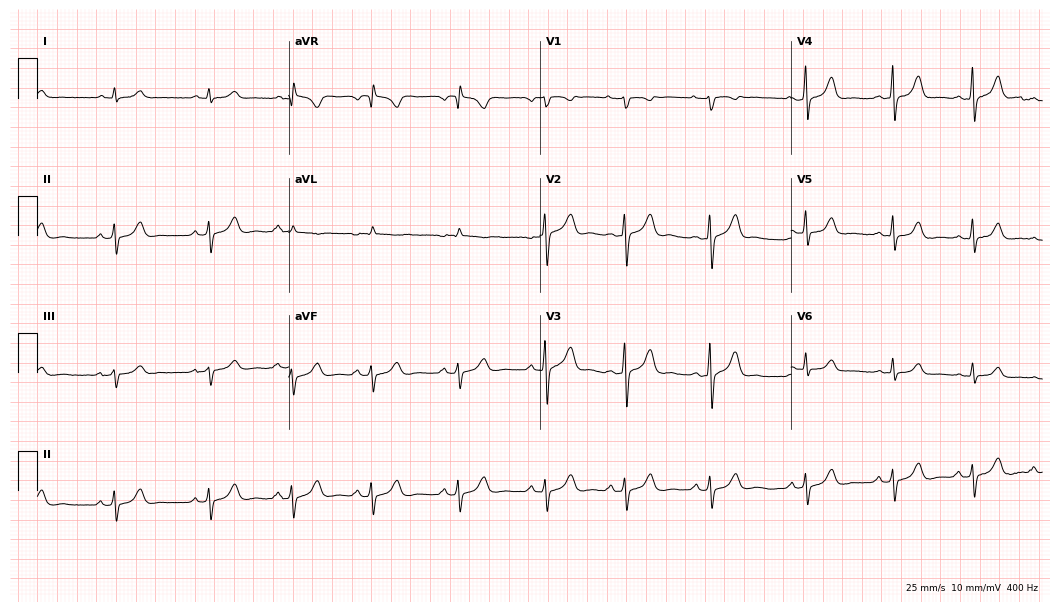
12-lead ECG from a 27-year-old woman (10.2-second recording at 400 Hz). No first-degree AV block, right bundle branch block, left bundle branch block, sinus bradycardia, atrial fibrillation or sinus tachycardia recorded for this tracing.